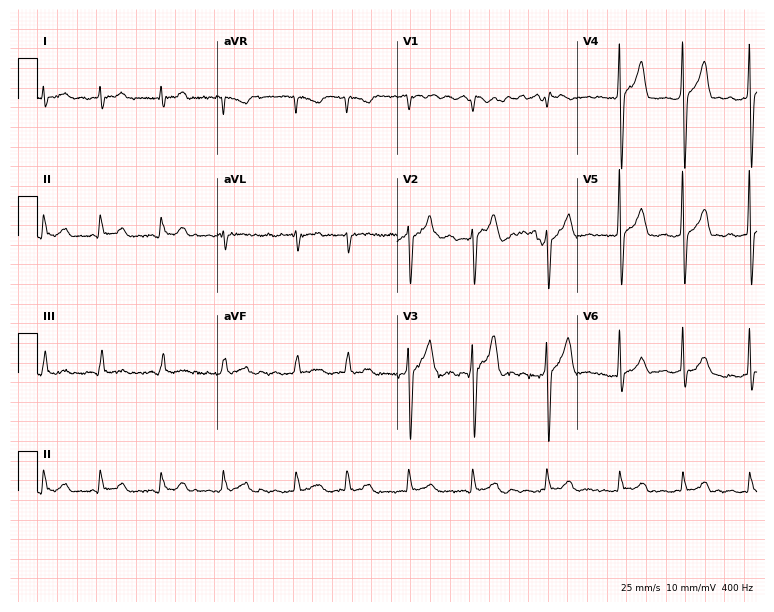
Electrocardiogram (7.3-second recording at 400 Hz), a man, 61 years old. Interpretation includes atrial fibrillation.